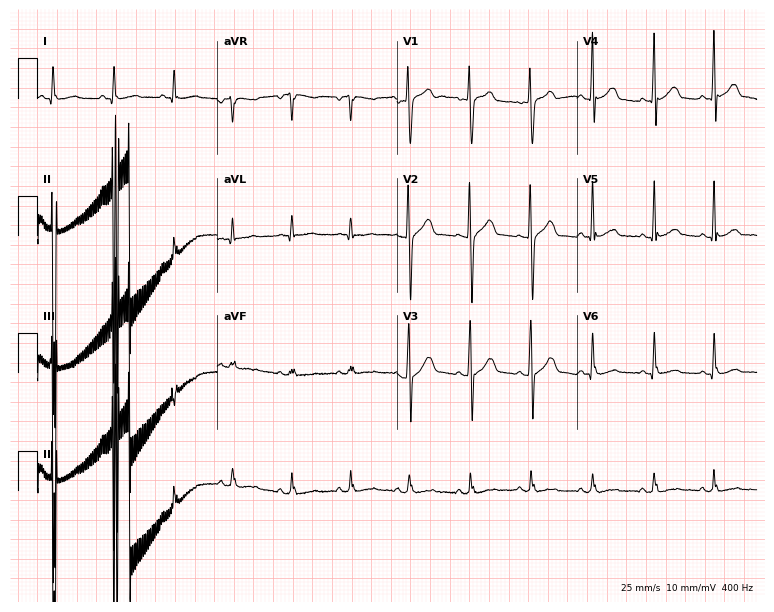
Electrocardiogram (7.3-second recording at 400 Hz), a male, 32 years old. Of the six screened findings (first-degree AV block, right bundle branch block, left bundle branch block, sinus bradycardia, atrial fibrillation, sinus tachycardia), none is recorded.